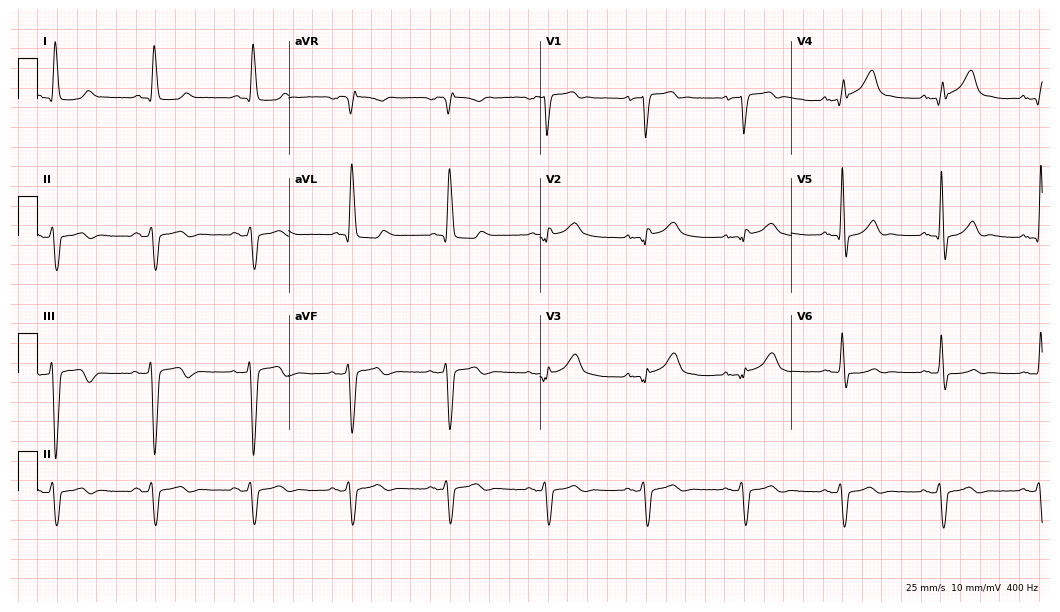
12-lead ECG (10.2-second recording at 400 Hz) from a male patient, 76 years old. Findings include left bundle branch block (LBBB).